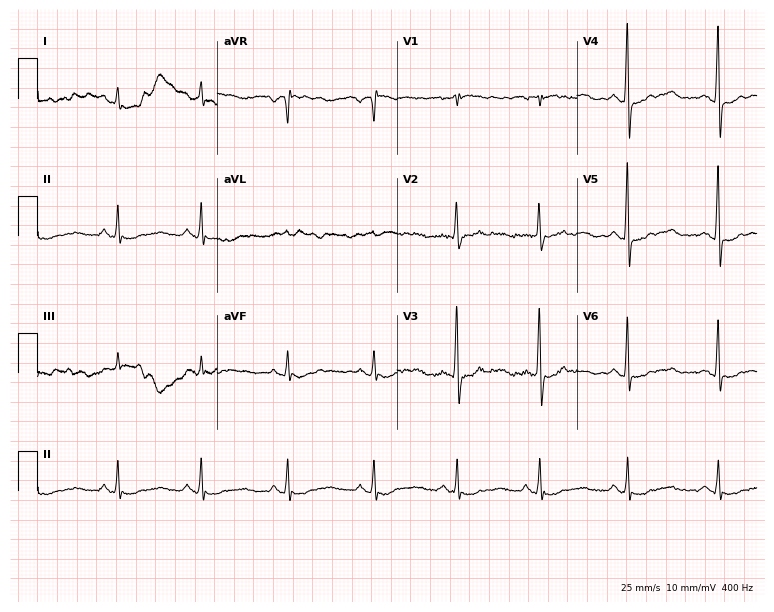
Resting 12-lead electrocardiogram. Patient: a 70-year-old man. None of these six findings is recorded: first-degree AV block, right bundle branch block, left bundle branch block, sinus bradycardia, atrial fibrillation, sinus tachycardia. Other findings, if any, are not listed.